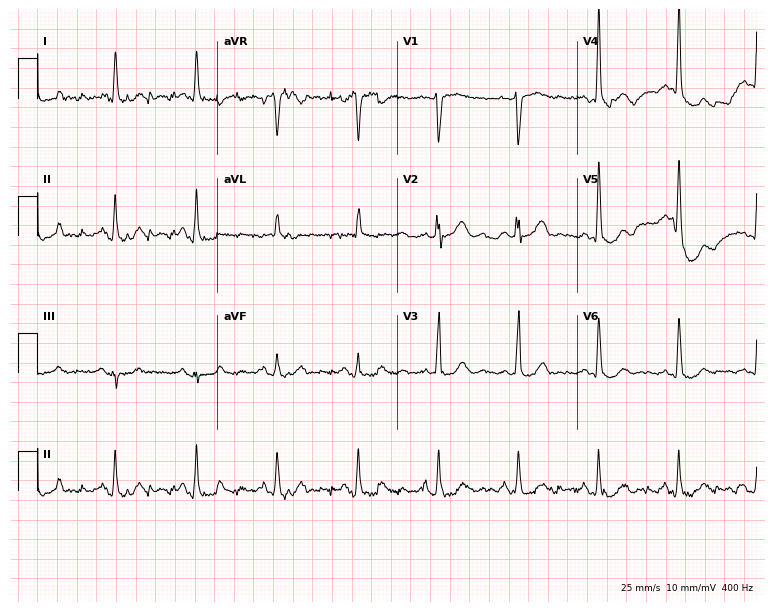
Standard 12-lead ECG recorded from a male patient, 78 years old (7.3-second recording at 400 Hz). None of these six findings is recorded: first-degree AV block, right bundle branch block (RBBB), left bundle branch block (LBBB), sinus bradycardia, atrial fibrillation (AF), sinus tachycardia. Findings outside these six are not listed.